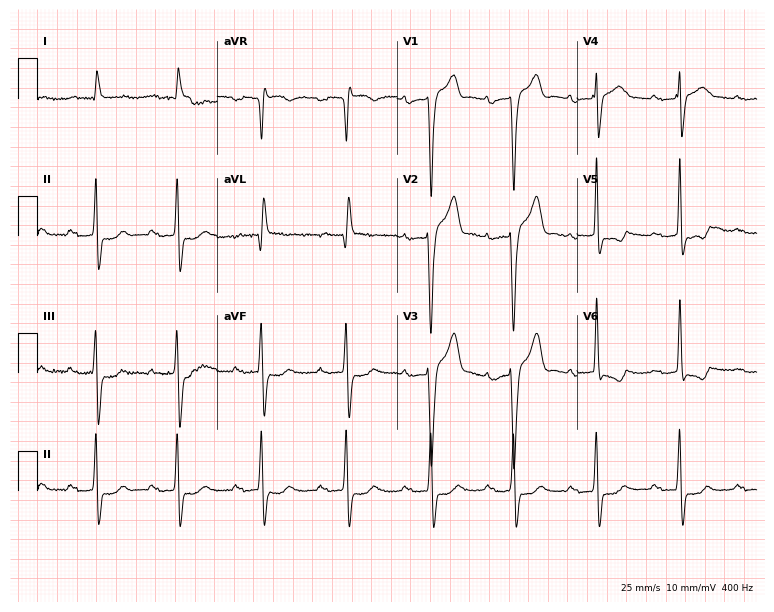
12-lead ECG from a man, 83 years old. Shows first-degree AV block.